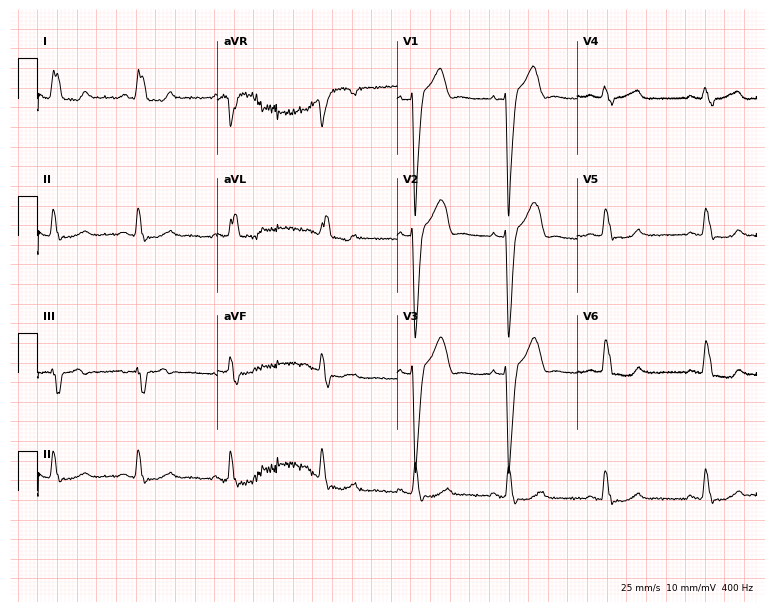
12-lead ECG from a 45-year-old woman. Findings include left bundle branch block.